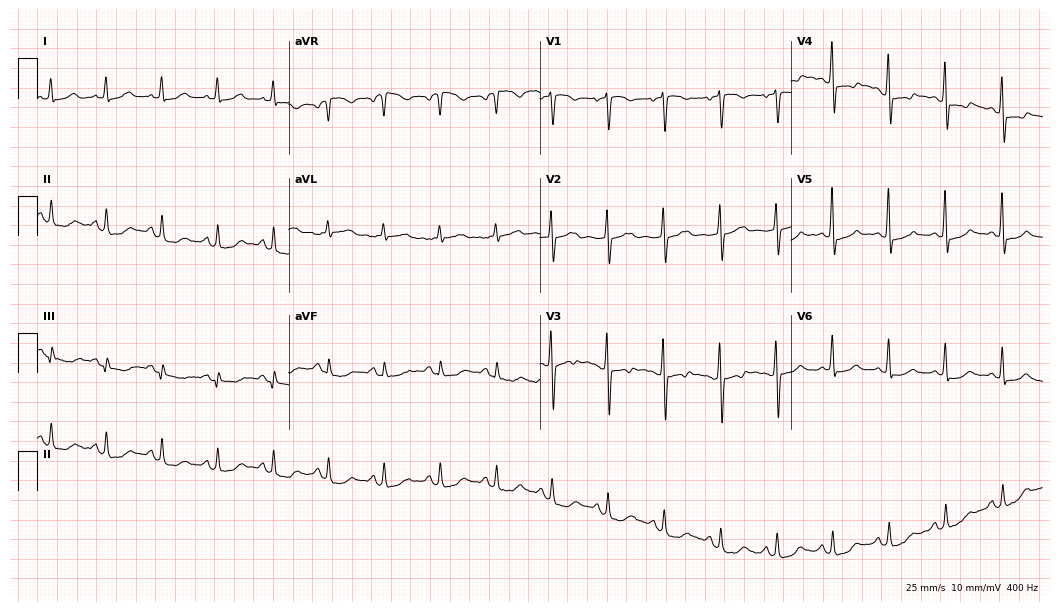
12-lead ECG from a woman, 71 years old. No first-degree AV block, right bundle branch block (RBBB), left bundle branch block (LBBB), sinus bradycardia, atrial fibrillation (AF) or sinus tachycardia recorded for this tracing.